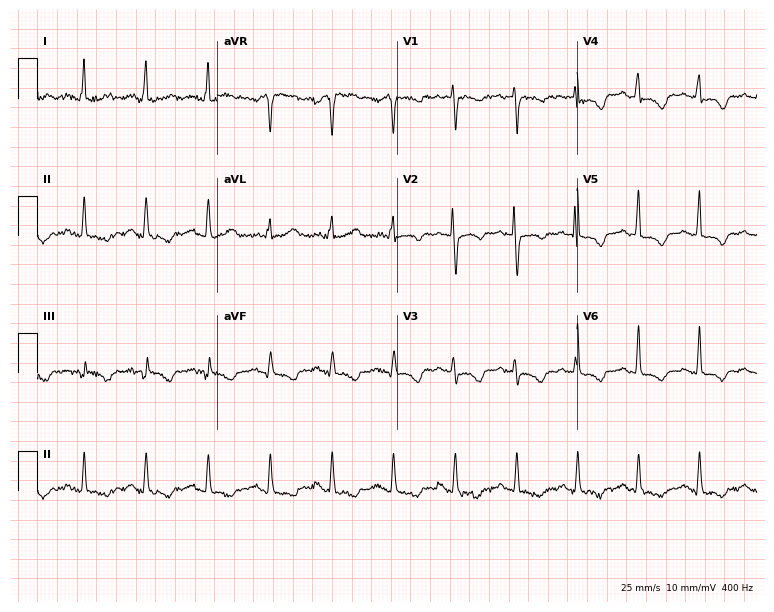
Standard 12-lead ECG recorded from a female, 51 years old (7.3-second recording at 400 Hz). None of these six findings is recorded: first-degree AV block, right bundle branch block (RBBB), left bundle branch block (LBBB), sinus bradycardia, atrial fibrillation (AF), sinus tachycardia. Other findings, if any, are not listed.